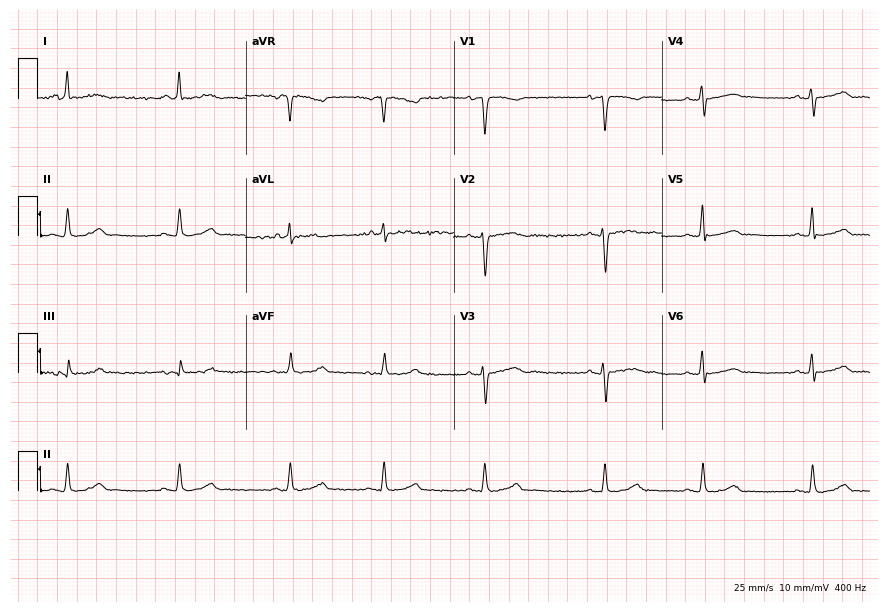
12-lead ECG (8.5-second recording at 400 Hz) from a female, 43 years old. Labelled as a normal ECG.